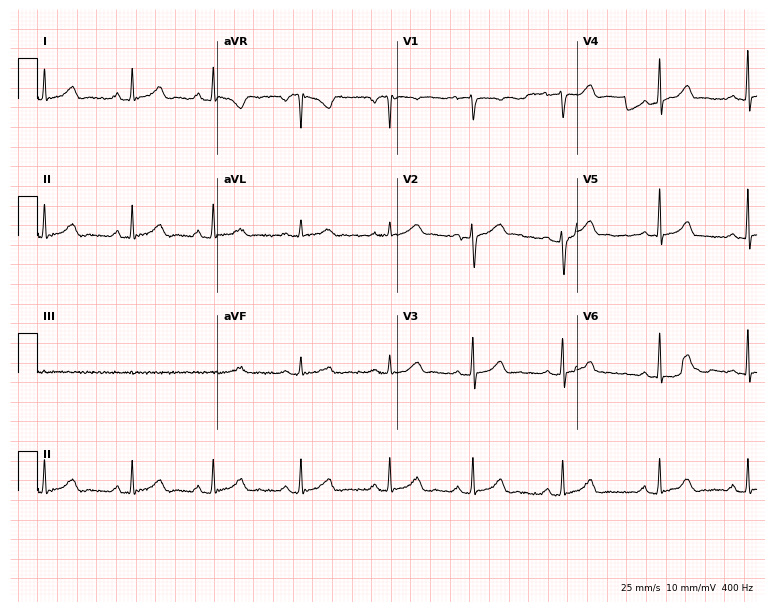
Electrocardiogram (7.3-second recording at 400 Hz), a female patient, 26 years old. Of the six screened findings (first-degree AV block, right bundle branch block, left bundle branch block, sinus bradycardia, atrial fibrillation, sinus tachycardia), none is recorded. Findings outside these six are not listed.